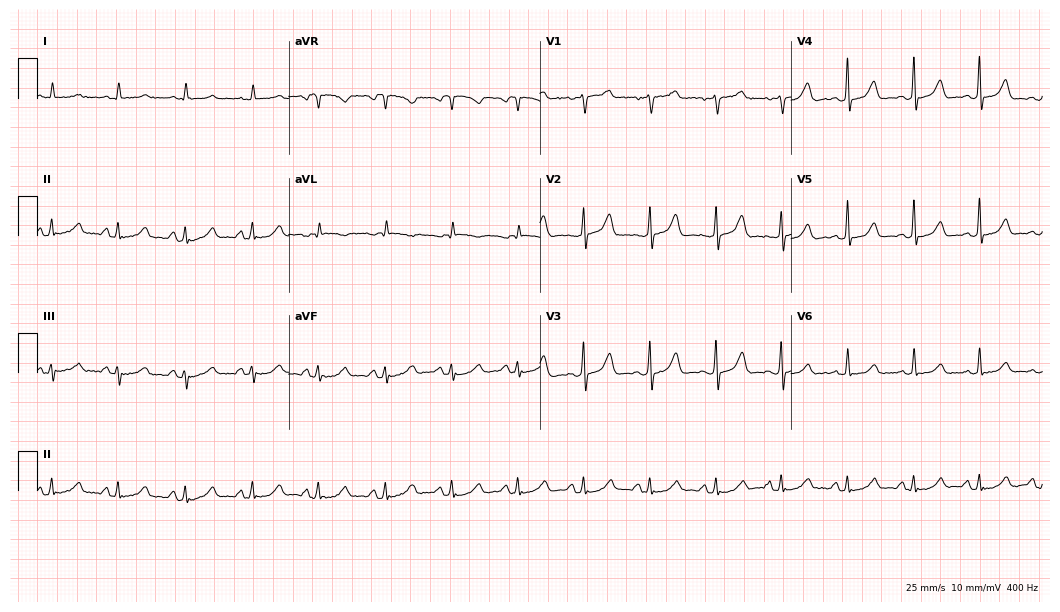
12-lead ECG from a female patient, 66 years old (10.2-second recording at 400 Hz). Recorded interpretation: within normal limits.